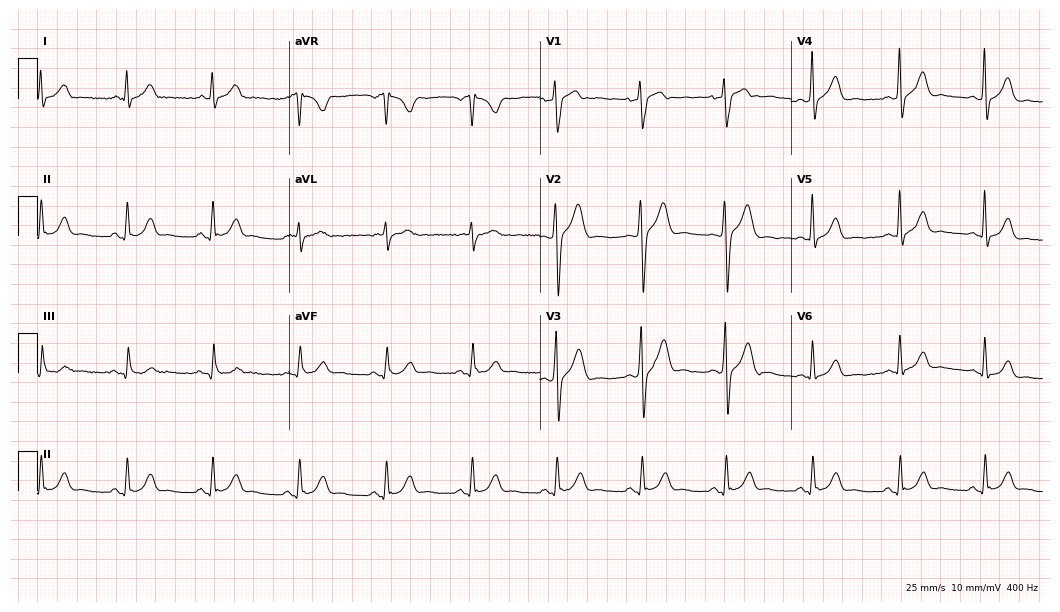
Standard 12-lead ECG recorded from a 40-year-old man. Read as a normal ECG.